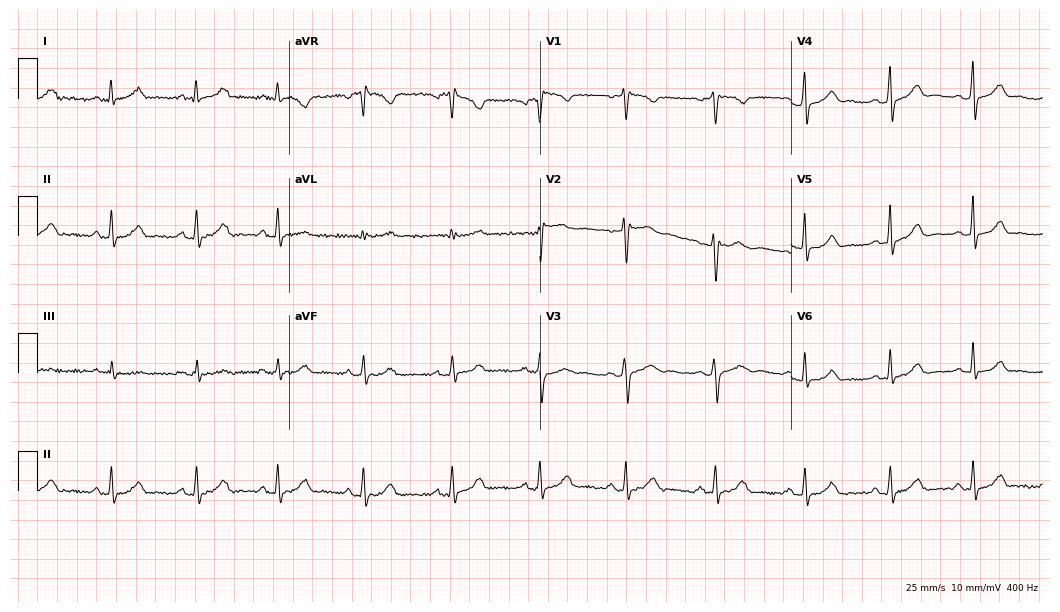
ECG (10.2-second recording at 400 Hz) — a woman, 32 years old. Labelled as a normal ECG.